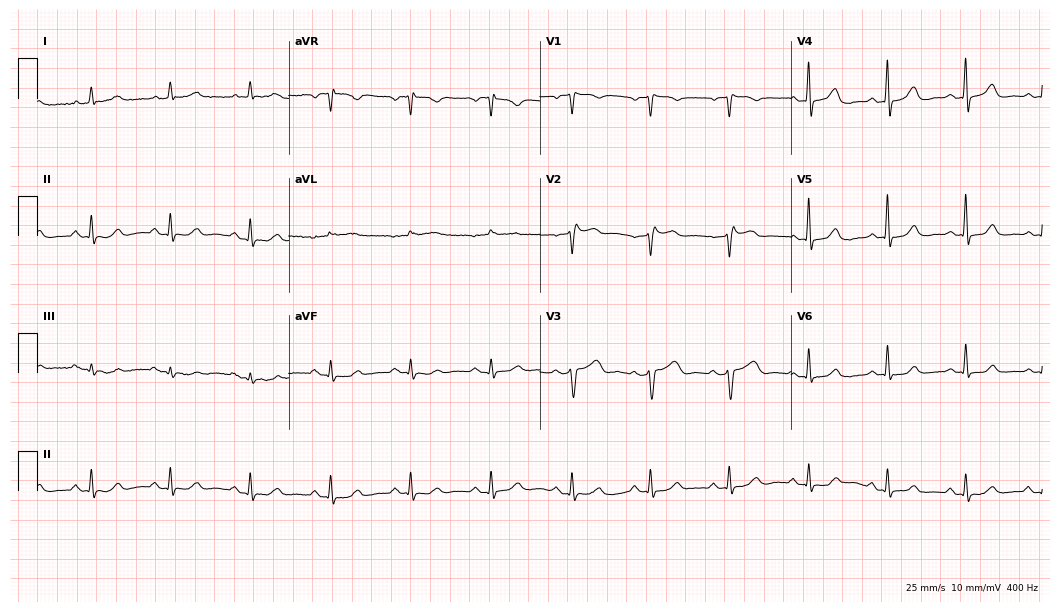
Standard 12-lead ECG recorded from a 78-year-old woman (10.2-second recording at 400 Hz). None of these six findings is recorded: first-degree AV block, right bundle branch block (RBBB), left bundle branch block (LBBB), sinus bradycardia, atrial fibrillation (AF), sinus tachycardia.